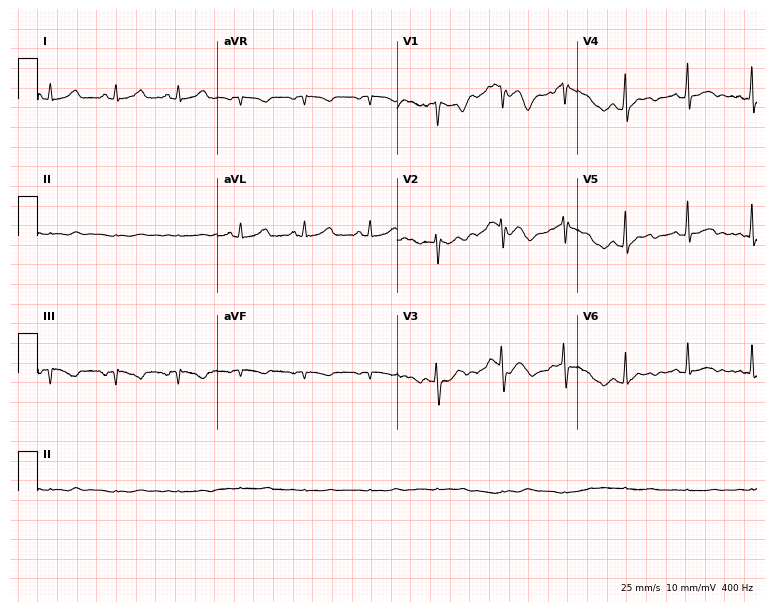
ECG — a 31-year-old female patient. Labelled as a normal ECG.